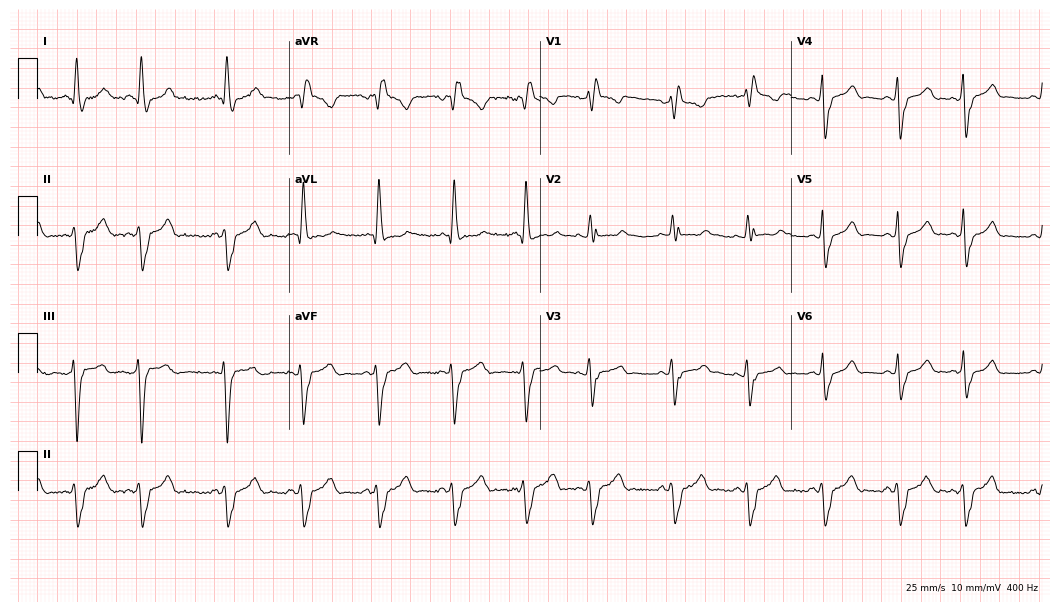
Electrocardiogram (10.2-second recording at 400 Hz), a 39-year-old female patient. Interpretation includes right bundle branch block.